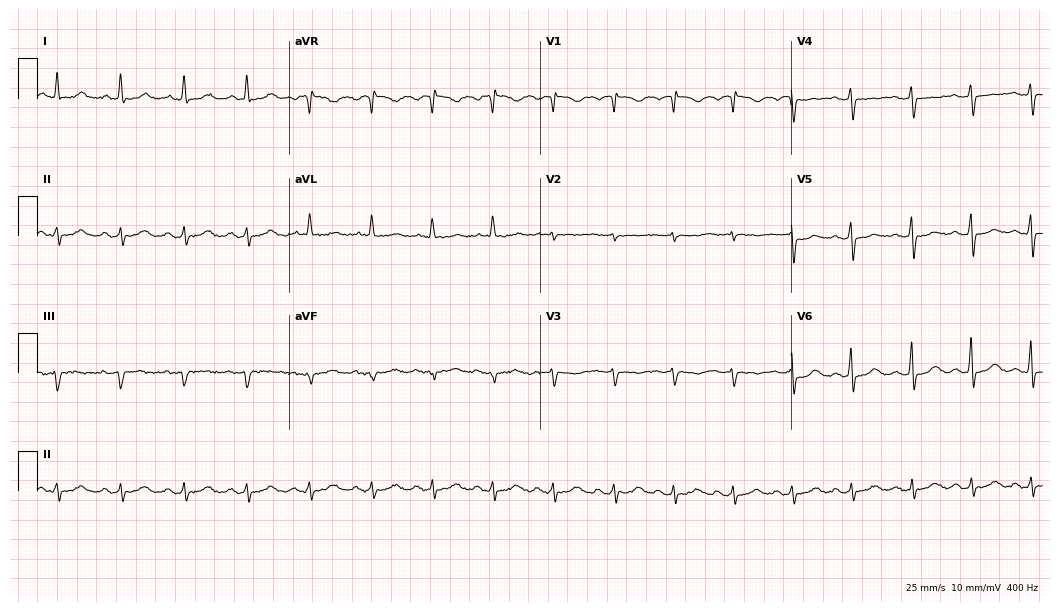
12-lead ECG (10.2-second recording at 400 Hz) from a 68-year-old female patient. Screened for six findings — first-degree AV block, right bundle branch block, left bundle branch block, sinus bradycardia, atrial fibrillation, sinus tachycardia — none is recorded. Other findings, if any, are not listed.